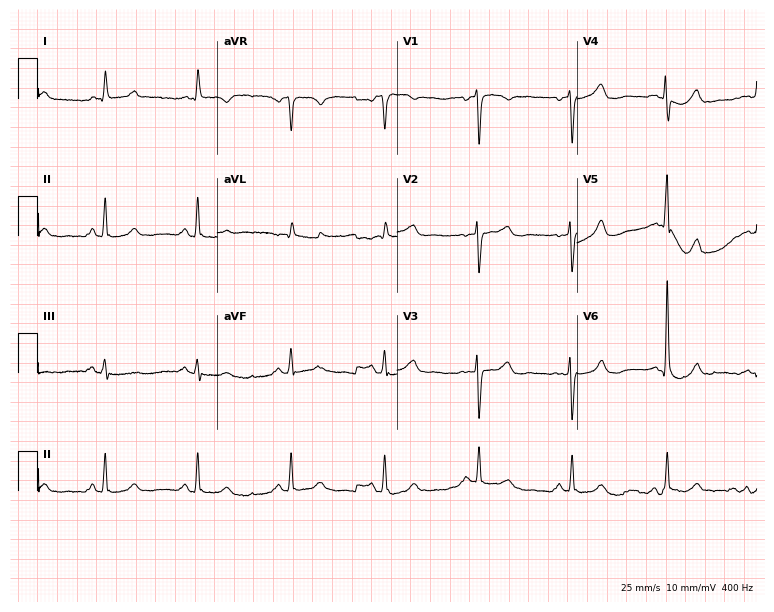
ECG — a 68-year-old female patient. Screened for six findings — first-degree AV block, right bundle branch block, left bundle branch block, sinus bradycardia, atrial fibrillation, sinus tachycardia — none is recorded.